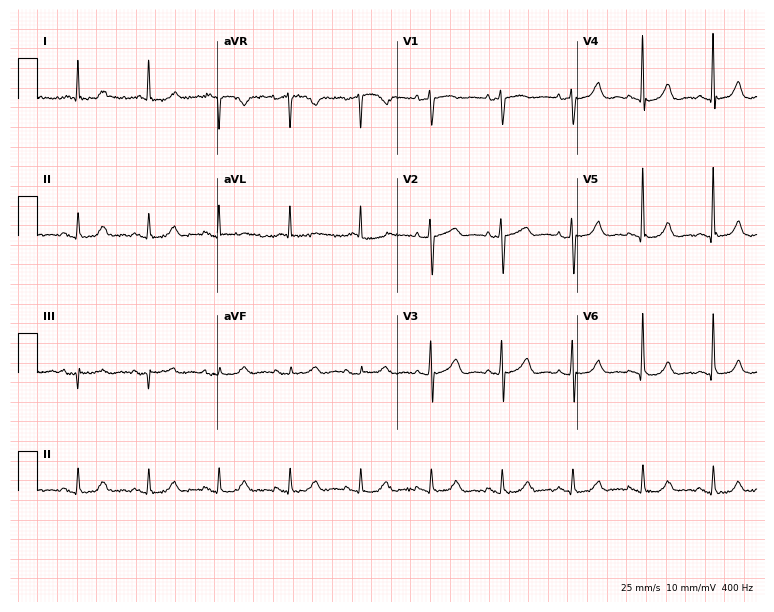
Resting 12-lead electrocardiogram (7.3-second recording at 400 Hz). Patient: an 85-year-old woman. Read as a normal ECG.